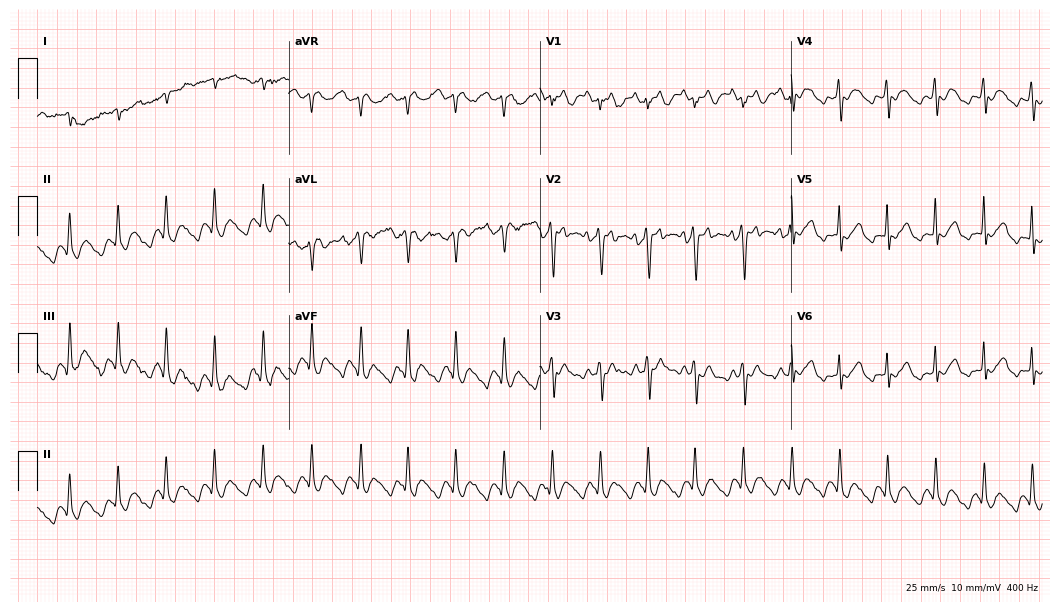
Electrocardiogram, a female patient, 84 years old. Of the six screened findings (first-degree AV block, right bundle branch block, left bundle branch block, sinus bradycardia, atrial fibrillation, sinus tachycardia), none is recorded.